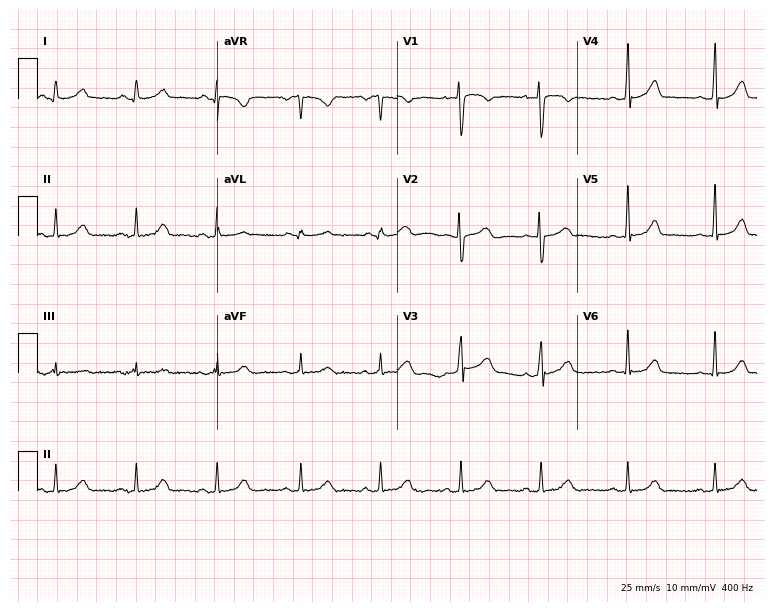
Resting 12-lead electrocardiogram. Patient: a woman, 18 years old. None of these six findings is recorded: first-degree AV block, right bundle branch block, left bundle branch block, sinus bradycardia, atrial fibrillation, sinus tachycardia.